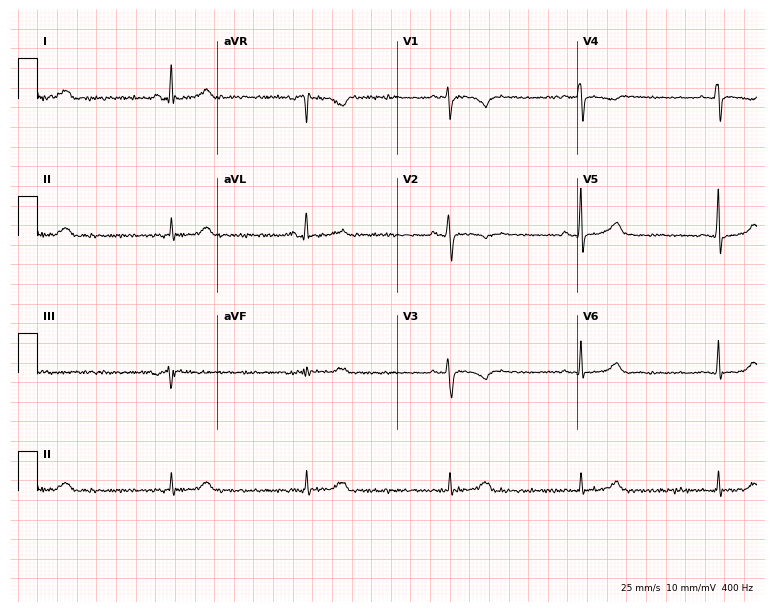
ECG (7.3-second recording at 400 Hz) — a 51-year-old female patient. Findings include sinus bradycardia (a sinus rate of 50 beats per minute or less).